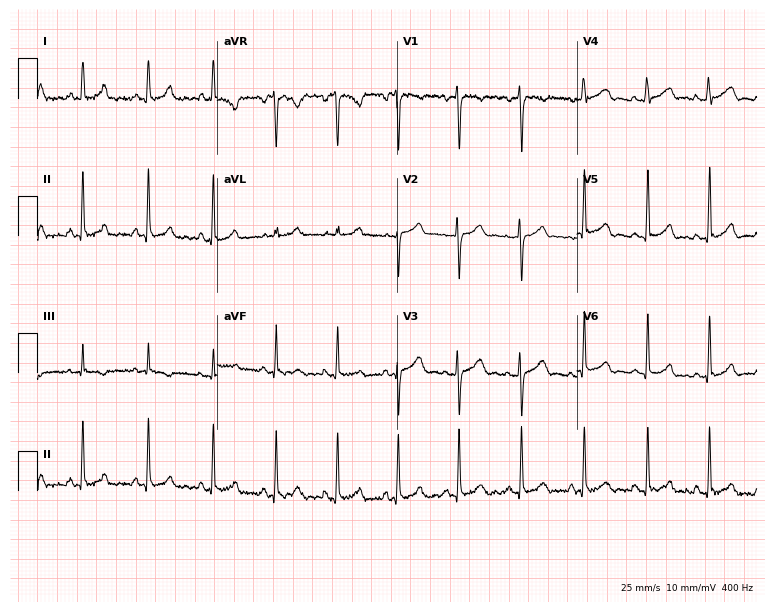
ECG — a woman, 35 years old. Labelled as a normal ECG.